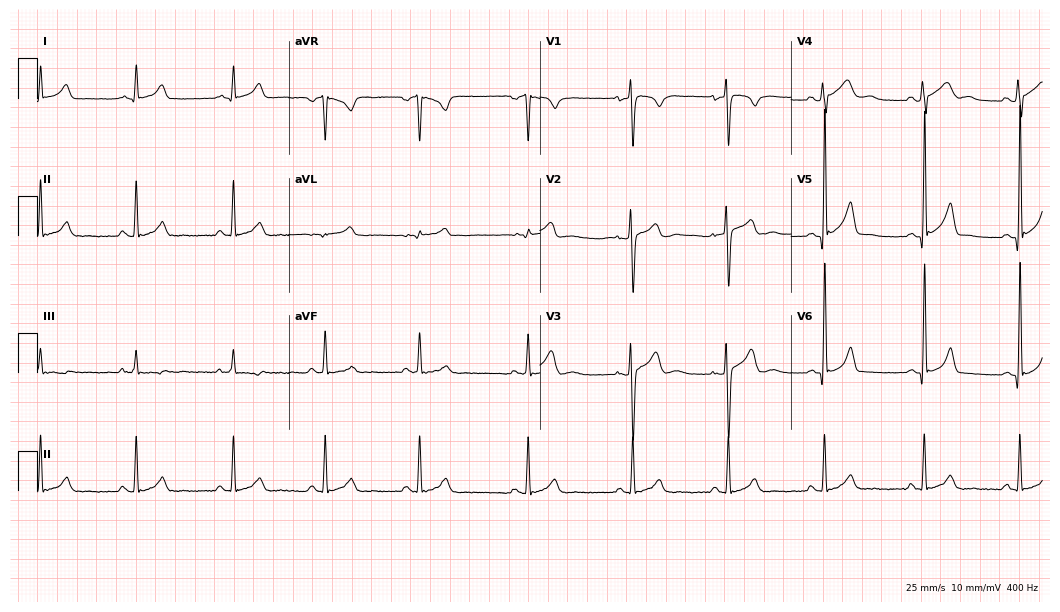
Standard 12-lead ECG recorded from a 23-year-old man (10.2-second recording at 400 Hz). Read as a normal ECG.